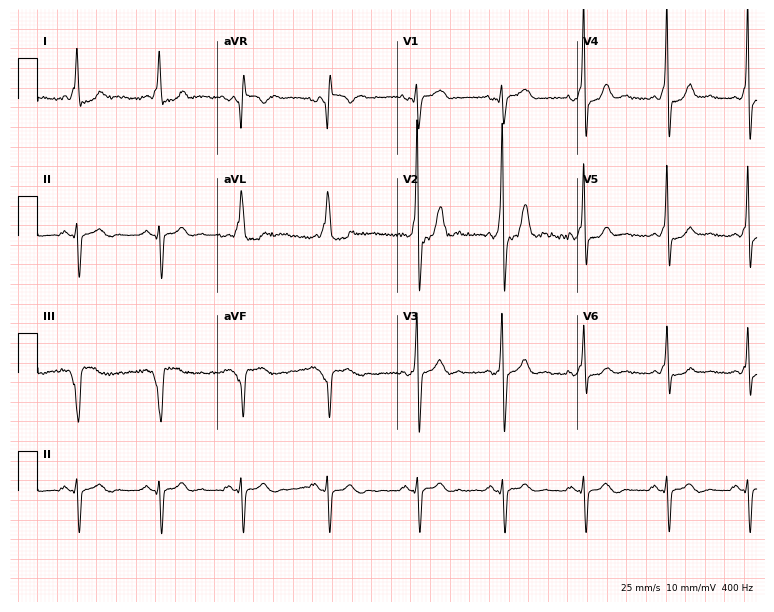
12-lead ECG from a male, 29 years old. Screened for six findings — first-degree AV block, right bundle branch block, left bundle branch block, sinus bradycardia, atrial fibrillation, sinus tachycardia — none is recorded.